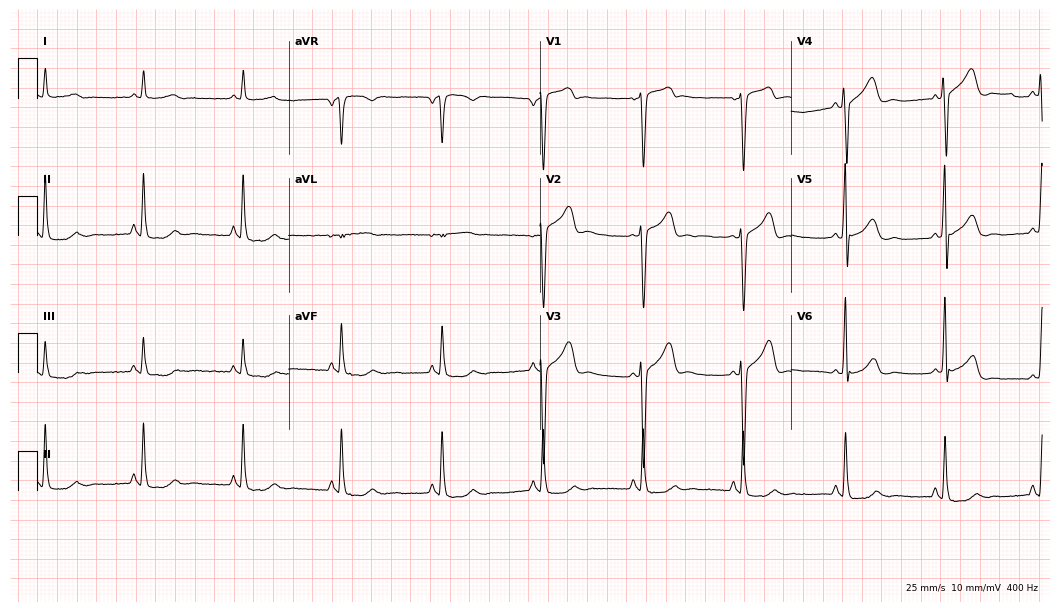
ECG (10.2-second recording at 400 Hz) — a male patient, 65 years old. Screened for six findings — first-degree AV block, right bundle branch block (RBBB), left bundle branch block (LBBB), sinus bradycardia, atrial fibrillation (AF), sinus tachycardia — none is recorded.